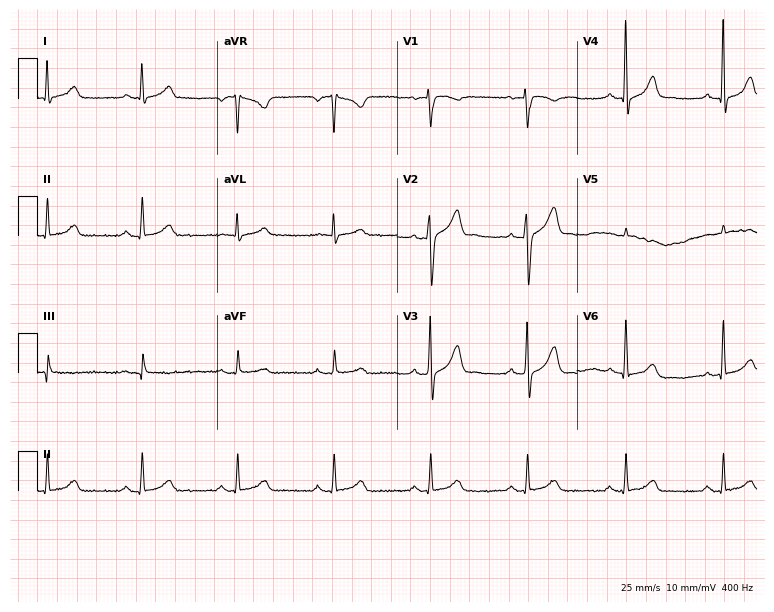
Electrocardiogram, a 58-year-old male. Overall reading on record: normal ECG.